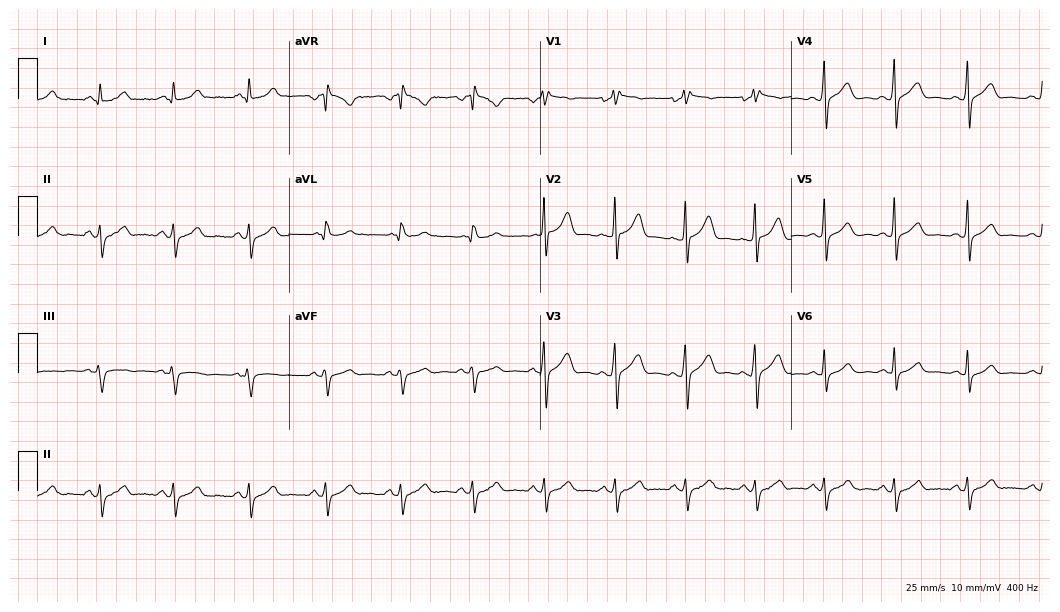
ECG (10.2-second recording at 400 Hz) — a 39-year-old male patient. Screened for six findings — first-degree AV block, right bundle branch block (RBBB), left bundle branch block (LBBB), sinus bradycardia, atrial fibrillation (AF), sinus tachycardia — none is recorded.